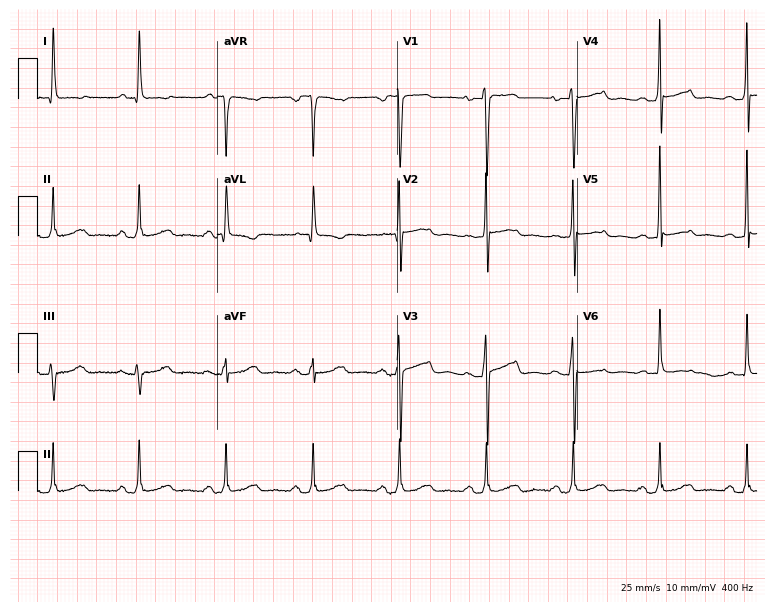
12-lead ECG from a female, 83 years old. Labelled as a normal ECG.